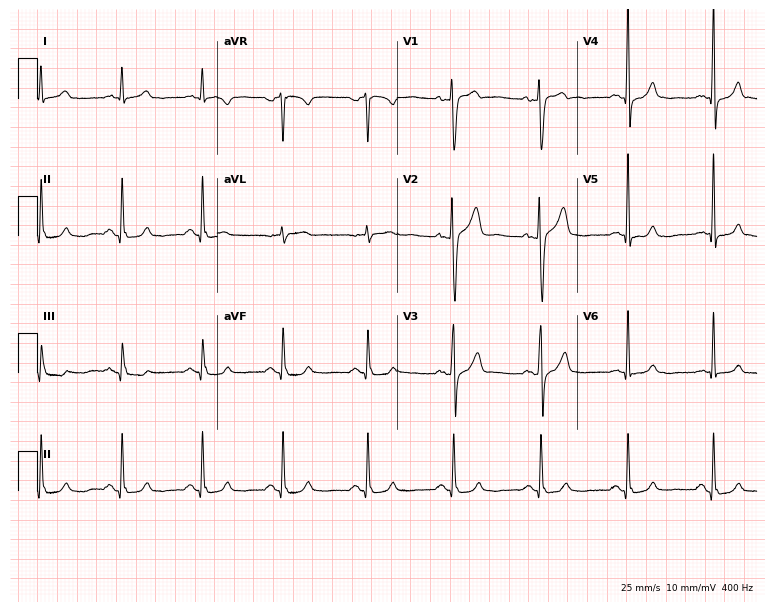
12-lead ECG (7.3-second recording at 400 Hz) from a 48-year-old man. Labelled as a normal ECG.